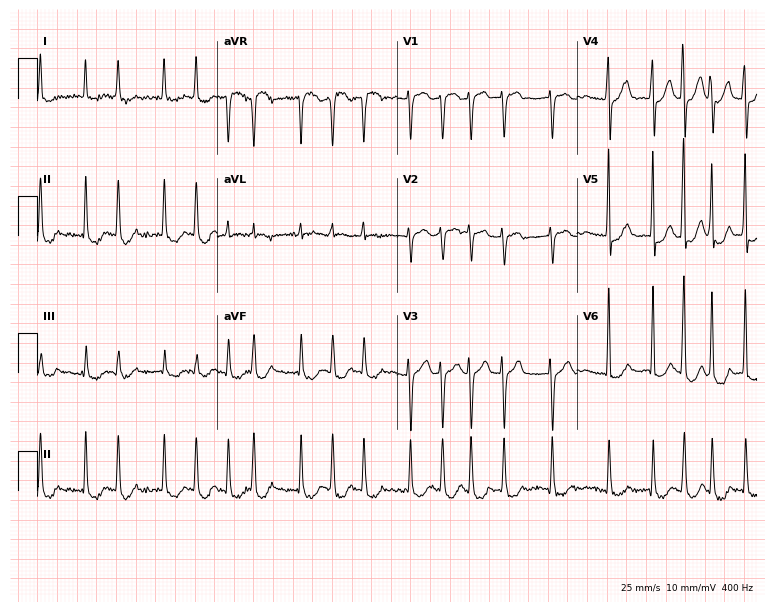
12-lead ECG from a 70-year-old female patient. Shows atrial fibrillation.